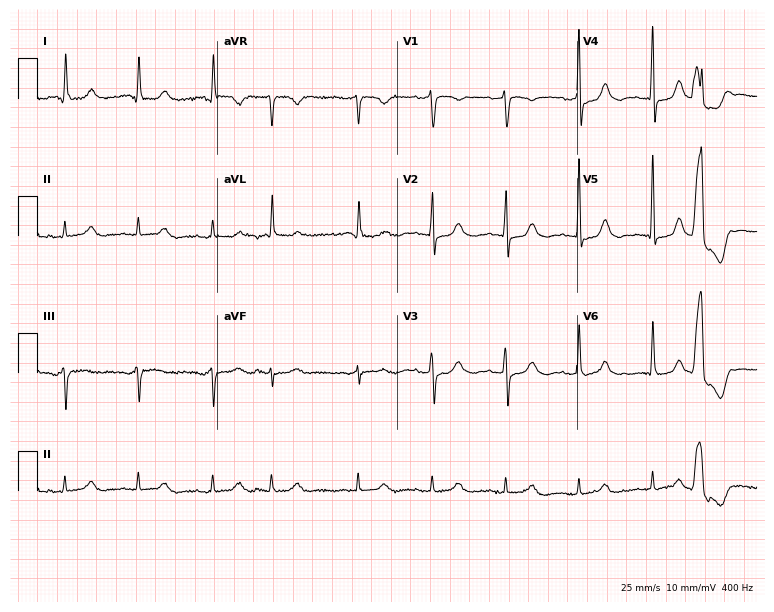
Standard 12-lead ECG recorded from a woman, 83 years old. None of these six findings is recorded: first-degree AV block, right bundle branch block, left bundle branch block, sinus bradycardia, atrial fibrillation, sinus tachycardia.